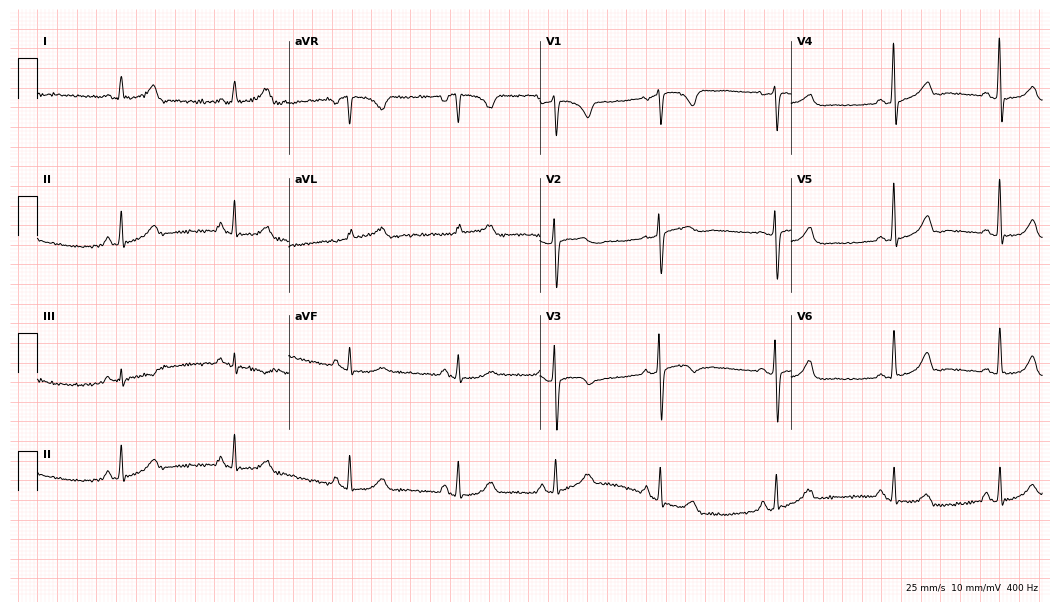
Resting 12-lead electrocardiogram (10.2-second recording at 400 Hz). Patient: a female, 56 years old. None of these six findings is recorded: first-degree AV block, right bundle branch block (RBBB), left bundle branch block (LBBB), sinus bradycardia, atrial fibrillation (AF), sinus tachycardia. Findings outside these six are not listed.